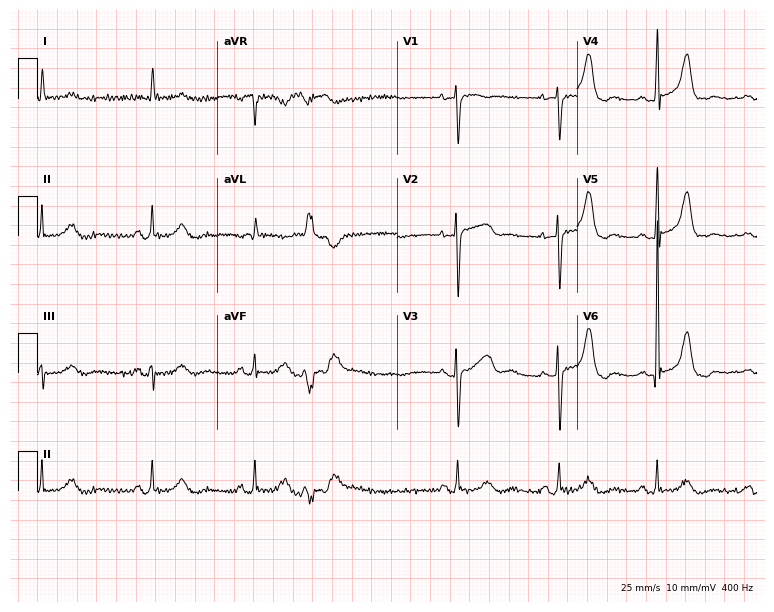
12-lead ECG from a female patient, 81 years old. No first-degree AV block, right bundle branch block, left bundle branch block, sinus bradycardia, atrial fibrillation or sinus tachycardia recorded for this tracing. Only these six findings were labelled.